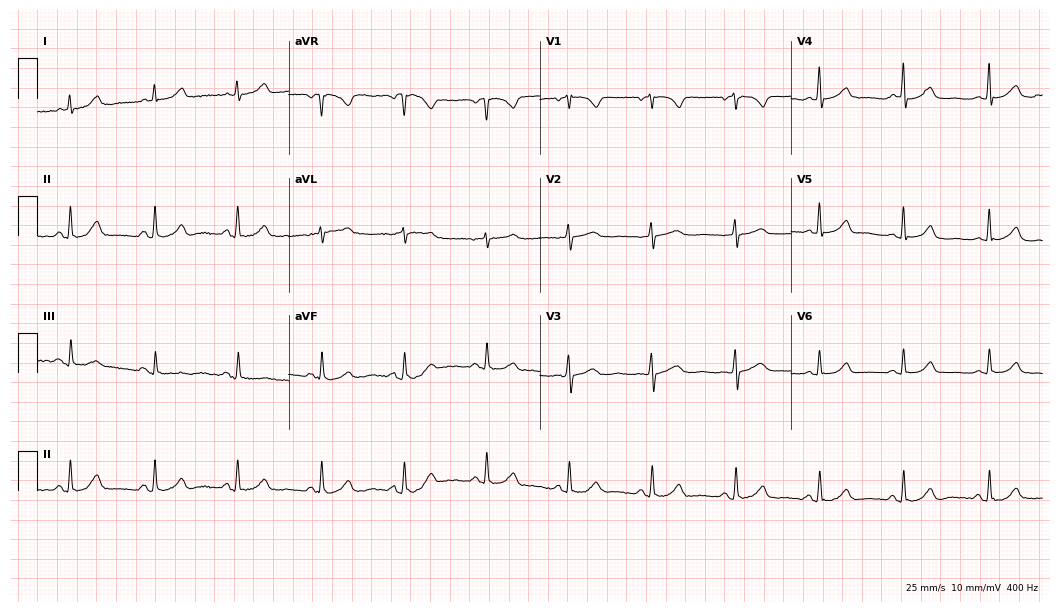
12-lead ECG from a female, 56 years old. Labelled as a normal ECG.